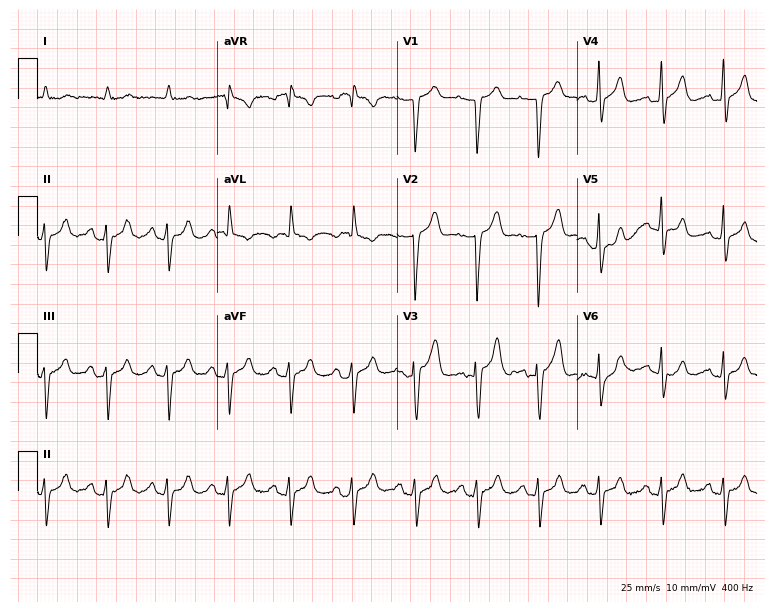
Resting 12-lead electrocardiogram. Patient: a male, 64 years old. None of these six findings is recorded: first-degree AV block, right bundle branch block, left bundle branch block, sinus bradycardia, atrial fibrillation, sinus tachycardia. Findings outside these six are not listed.